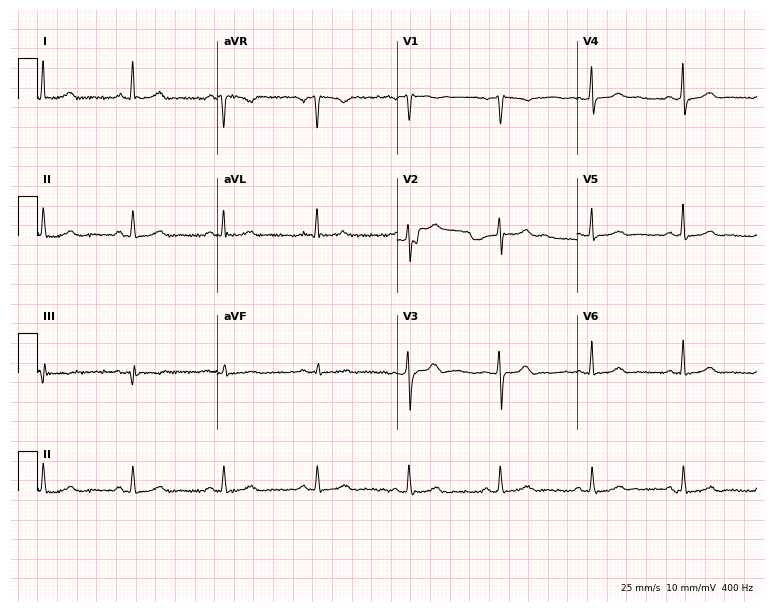
12-lead ECG from a female, 41 years old (7.3-second recording at 400 Hz). Recorded interpretation: within normal limits.